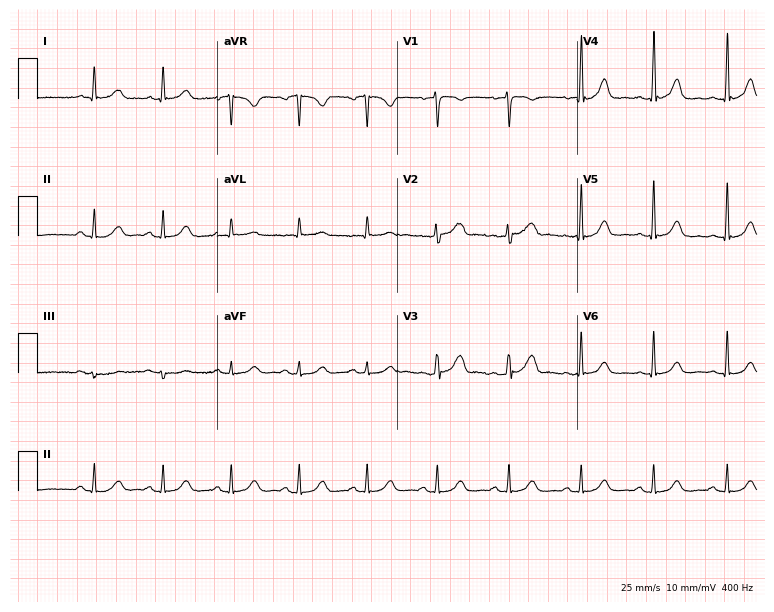
Resting 12-lead electrocardiogram (7.3-second recording at 400 Hz). Patient: a female, 66 years old. Read as a normal ECG.